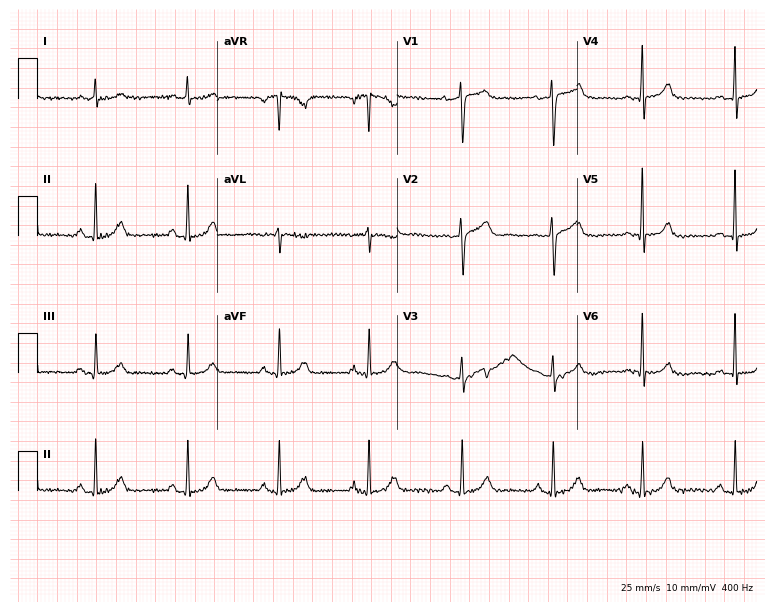
Resting 12-lead electrocardiogram (7.3-second recording at 400 Hz). Patient: a 65-year-old female. Read as a normal ECG.